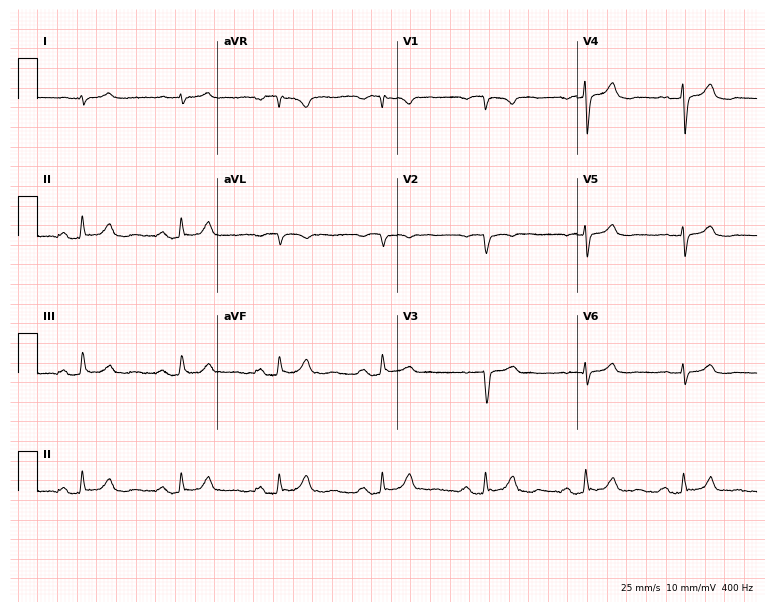
Standard 12-lead ECG recorded from a 57-year-old male patient (7.3-second recording at 400 Hz). The tracing shows first-degree AV block.